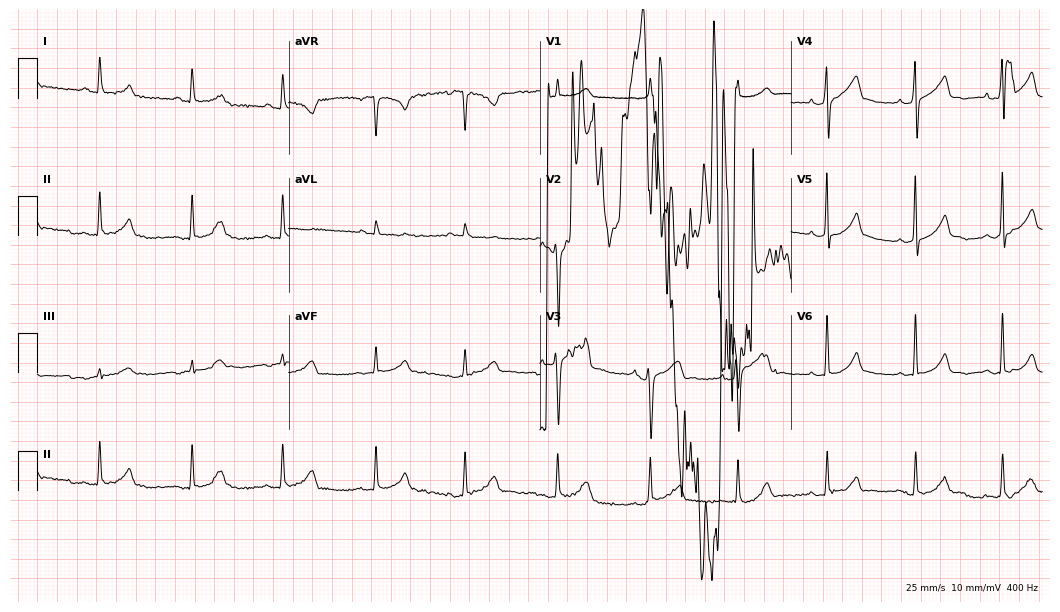
Electrocardiogram (10.2-second recording at 400 Hz), a 29-year-old woman. Of the six screened findings (first-degree AV block, right bundle branch block, left bundle branch block, sinus bradycardia, atrial fibrillation, sinus tachycardia), none is recorded.